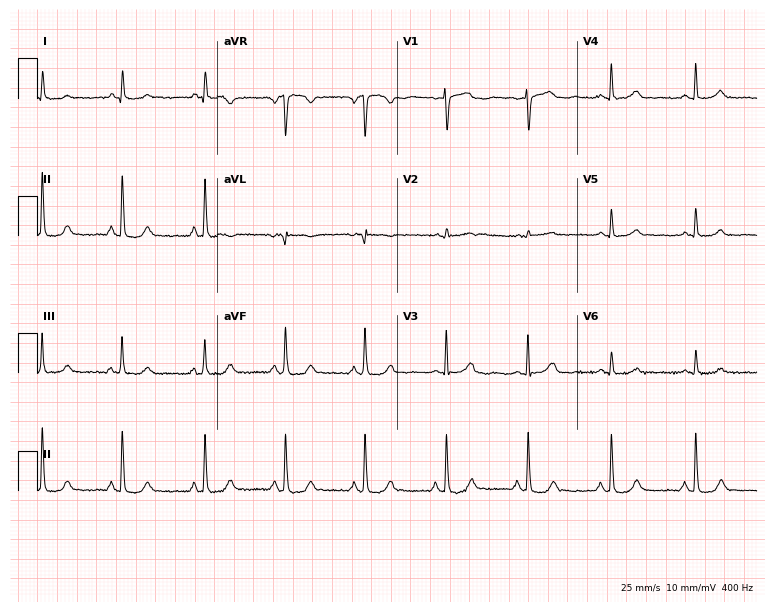
Electrocardiogram (7.3-second recording at 400 Hz), a 38-year-old female patient. Overall reading on record: normal ECG.